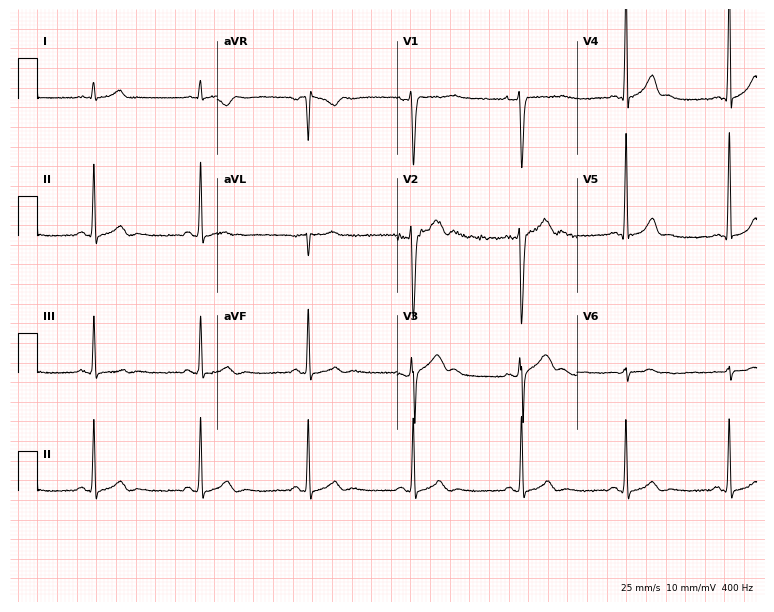
Standard 12-lead ECG recorded from a 30-year-old male patient. None of these six findings is recorded: first-degree AV block, right bundle branch block (RBBB), left bundle branch block (LBBB), sinus bradycardia, atrial fibrillation (AF), sinus tachycardia.